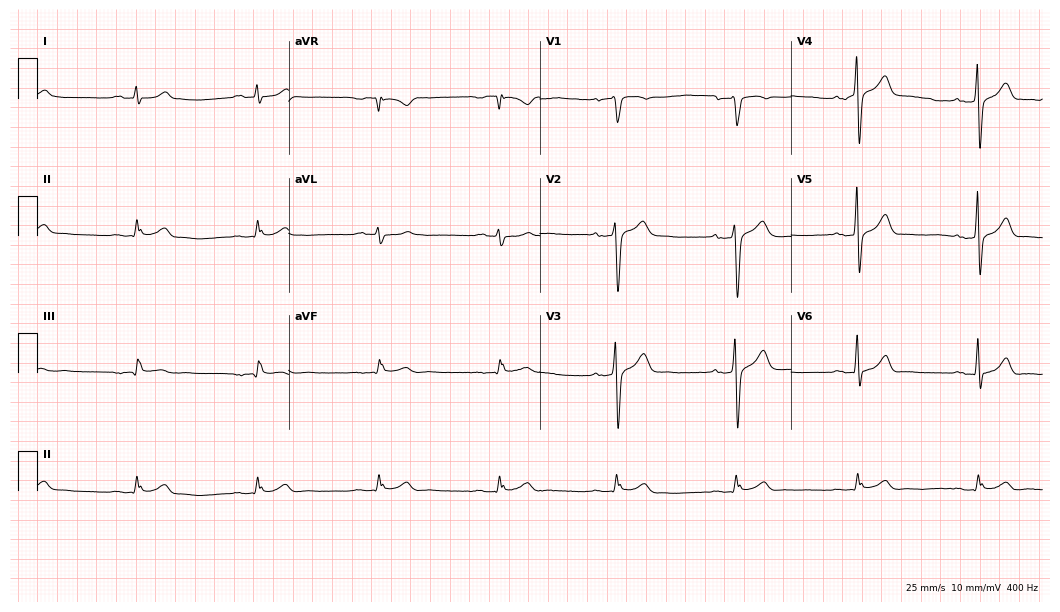
Standard 12-lead ECG recorded from a 75-year-old male. None of these six findings is recorded: first-degree AV block, right bundle branch block, left bundle branch block, sinus bradycardia, atrial fibrillation, sinus tachycardia. Only these six findings were labelled.